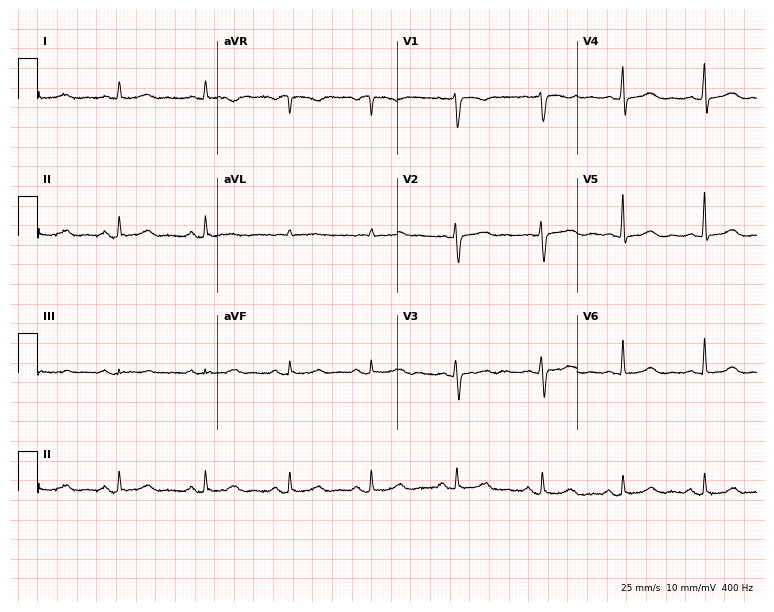
Resting 12-lead electrocardiogram. Patient: a woman, 51 years old. None of these six findings is recorded: first-degree AV block, right bundle branch block, left bundle branch block, sinus bradycardia, atrial fibrillation, sinus tachycardia.